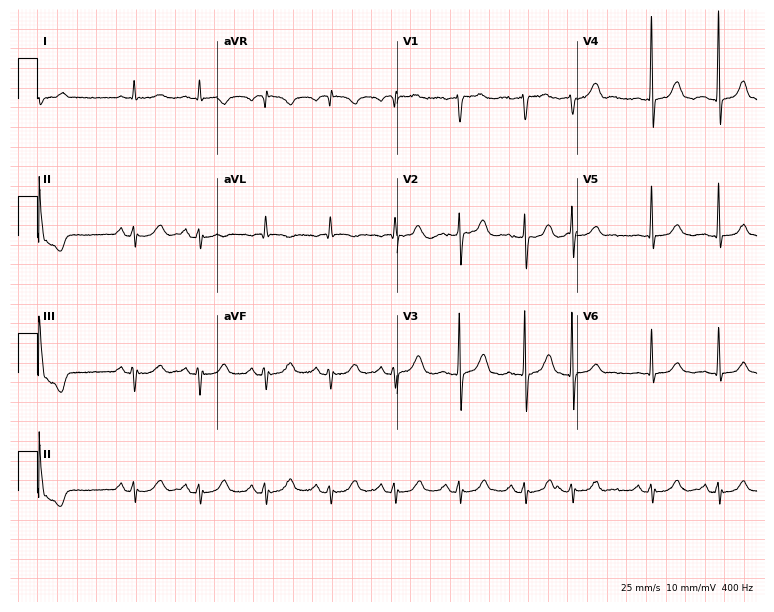
Standard 12-lead ECG recorded from a man, 71 years old. None of these six findings is recorded: first-degree AV block, right bundle branch block (RBBB), left bundle branch block (LBBB), sinus bradycardia, atrial fibrillation (AF), sinus tachycardia.